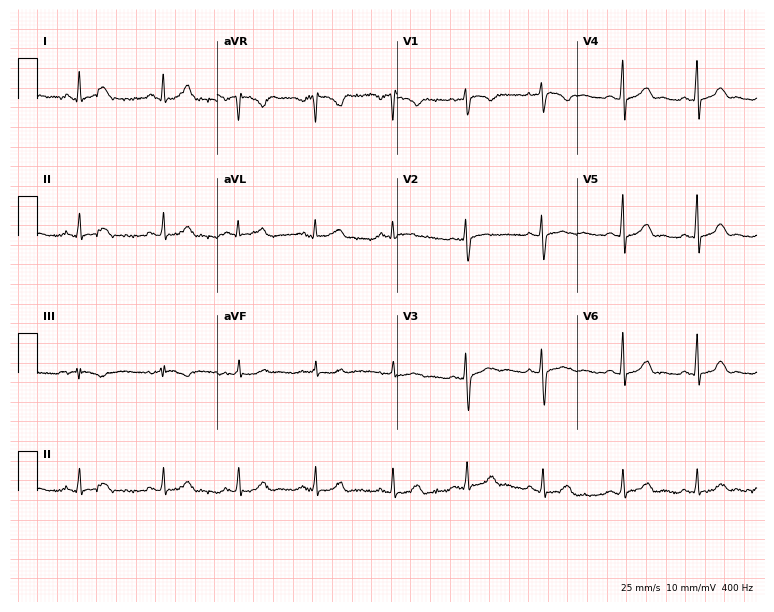
ECG (7.3-second recording at 400 Hz) — a female patient, 23 years old. Screened for six findings — first-degree AV block, right bundle branch block, left bundle branch block, sinus bradycardia, atrial fibrillation, sinus tachycardia — none is recorded. Other findings, if any, are not listed.